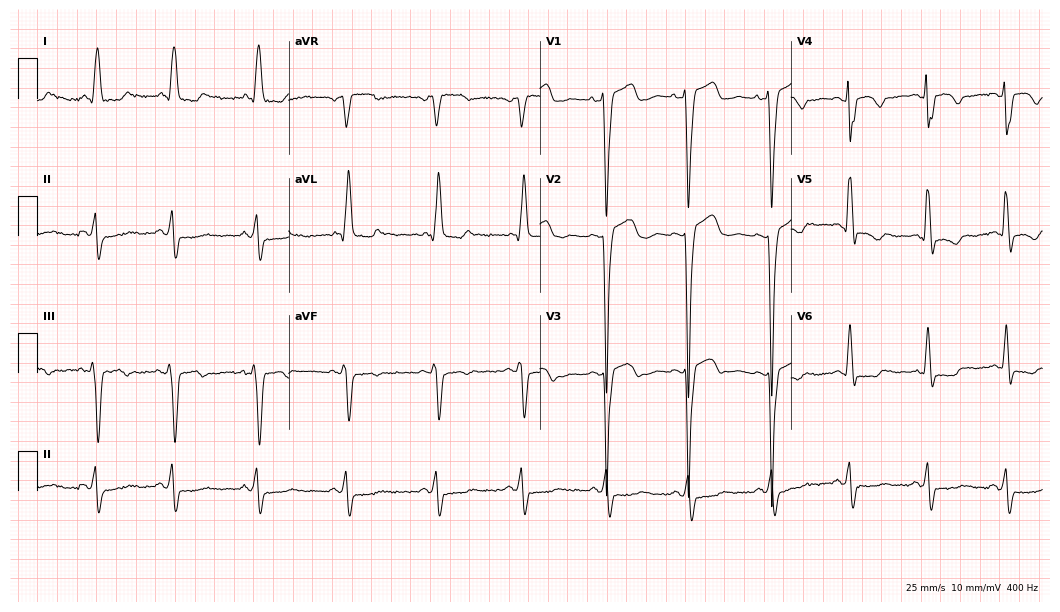
Resting 12-lead electrocardiogram. Patient: a 71-year-old male. The tracing shows left bundle branch block.